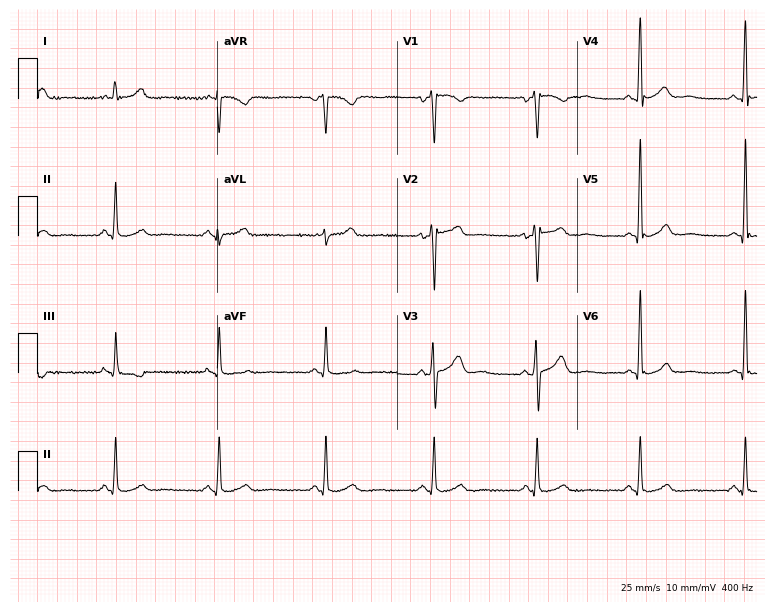
Resting 12-lead electrocardiogram (7.3-second recording at 400 Hz). Patient: a male, 44 years old. None of these six findings is recorded: first-degree AV block, right bundle branch block, left bundle branch block, sinus bradycardia, atrial fibrillation, sinus tachycardia. Other findings, if any, are not listed.